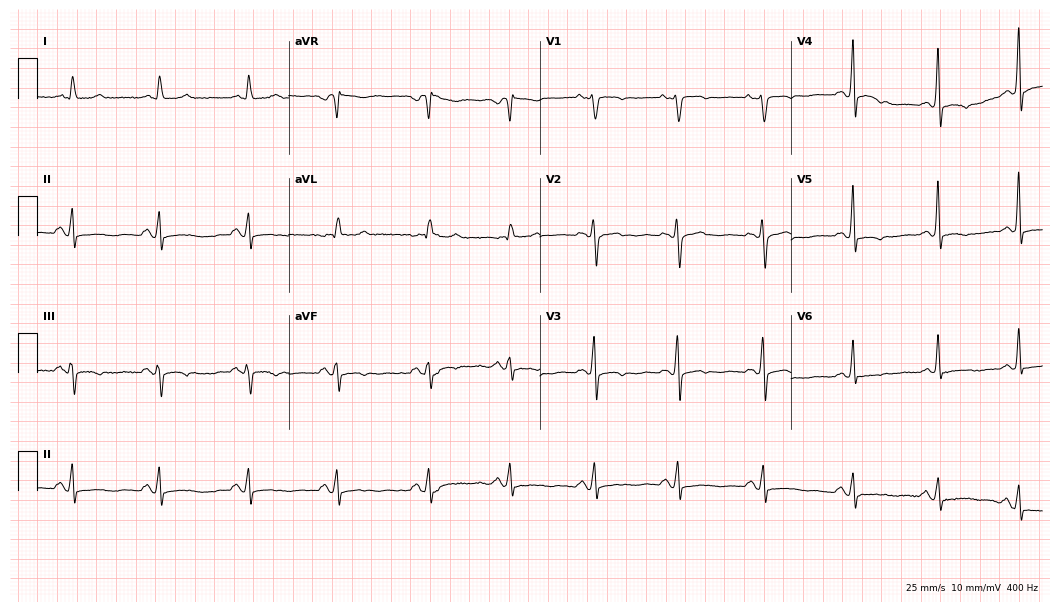
Electrocardiogram, a 60-year-old female. Of the six screened findings (first-degree AV block, right bundle branch block, left bundle branch block, sinus bradycardia, atrial fibrillation, sinus tachycardia), none is recorded.